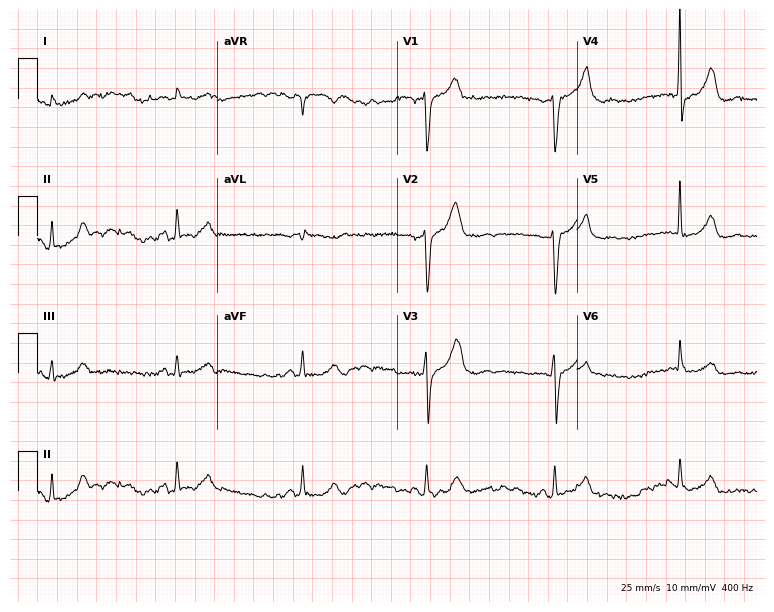
Electrocardiogram, a 66-year-old male patient. Interpretation includes sinus bradycardia (a sinus rate of 50 beats per minute or less).